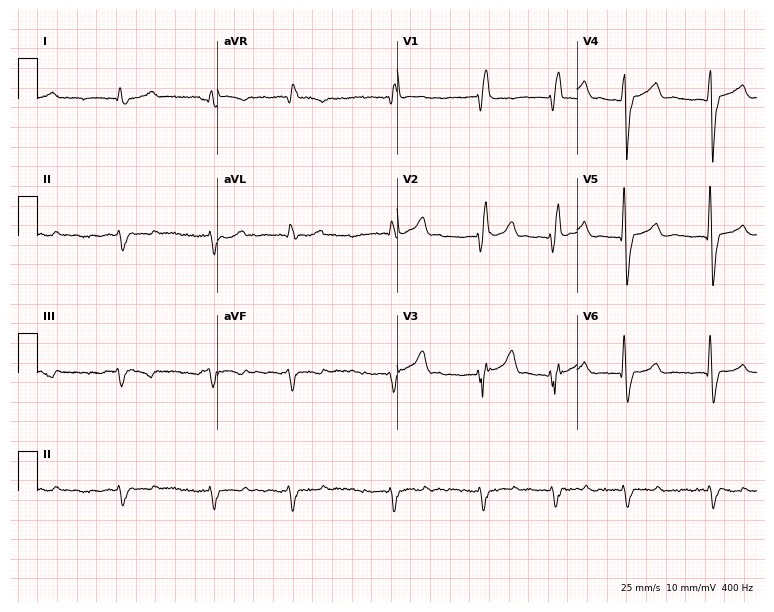
12-lead ECG from a 79-year-old male. Shows right bundle branch block, atrial fibrillation.